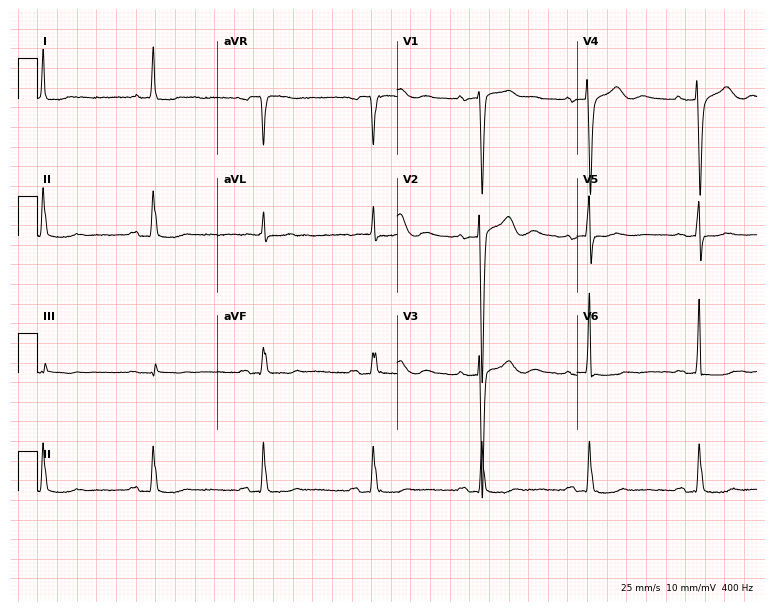
ECG (7.3-second recording at 400 Hz) — a male, 72 years old. Screened for six findings — first-degree AV block, right bundle branch block (RBBB), left bundle branch block (LBBB), sinus bradycardia, atrial fibrillation (AF), sinus tachycardia — none is recorded.